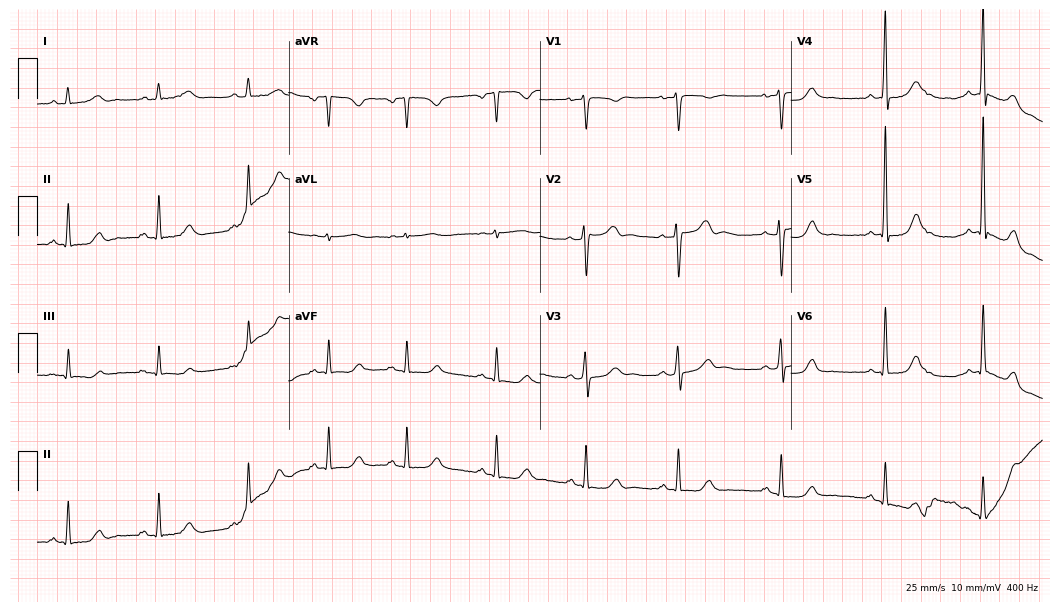
Standard 12-lead ECG recorded from a female, 41 years old. Read as a normal ECG.